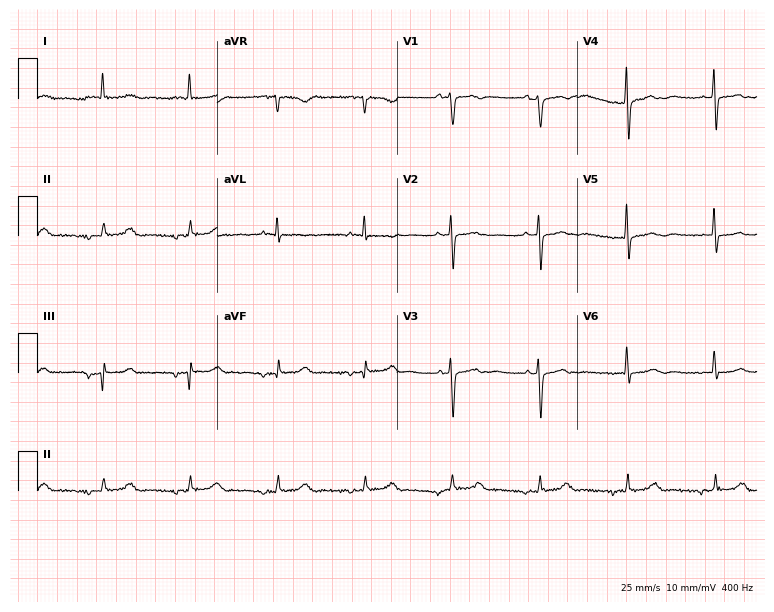
12-lead ECG from a woman, 84 years old. Screened for six findings — first-degree AV block, right bundle branch block, left bundle branch block, sinus bradycardia, atrial fibrillation, sinus tachycardia — none is recorded.